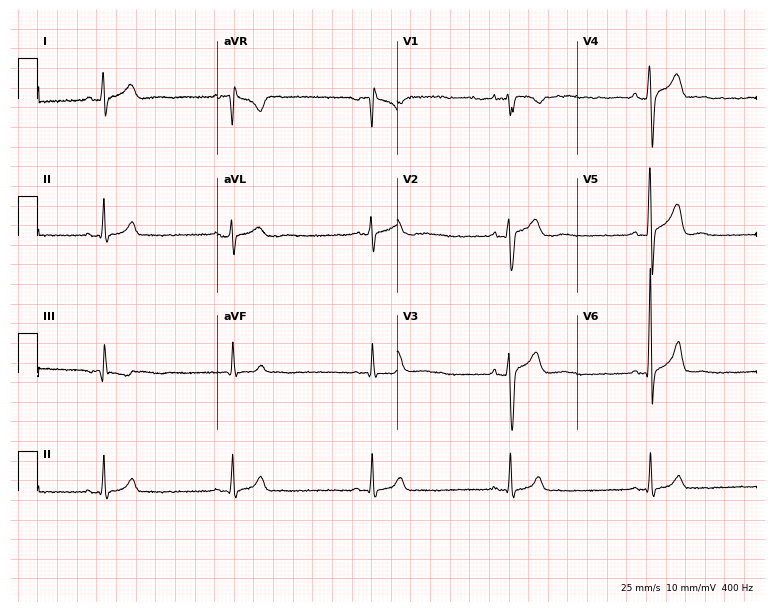
Standard 12-lead ECG recorded from a 29-year-old man (7.3-second recording at 400 Hz). None of these six findings is recorded: first-degree AV block, right bundle branch block, left bundle branch block, sinus bradycardia, atrial fibrillation, sinus tachycardia. Findings outside these six are not listed.